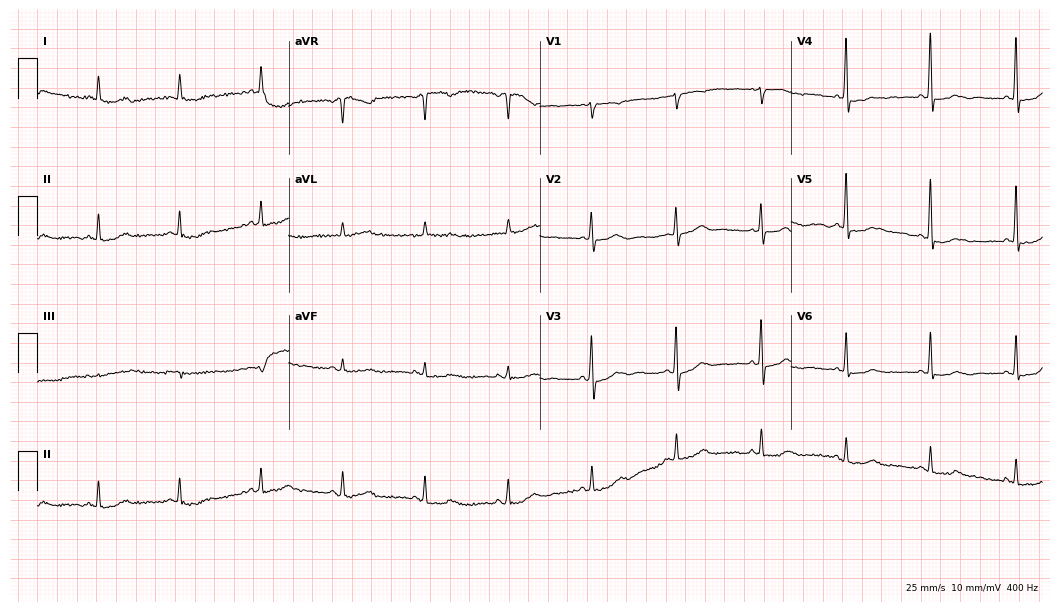
ECG (10.2-second recording at 400 Hz) — a 65-year-old female. Labelled as a normal ECG.